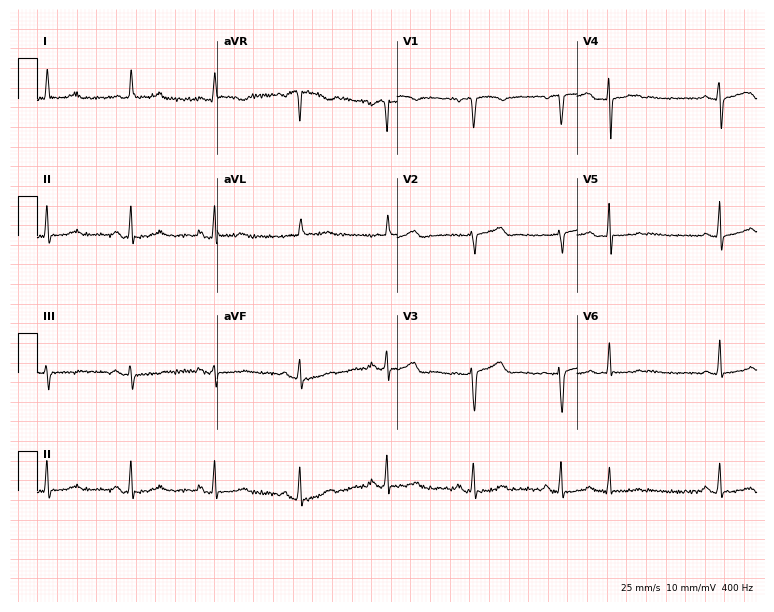
Resting 12-lead electrocardiogram. Patient: a 54-year-old woman. None of these six findings is recorded: first-degree AV block, right bundle branch block, left bundle branch block, sinus bradycardia, atrial fibrillation, sinus tachycardia.